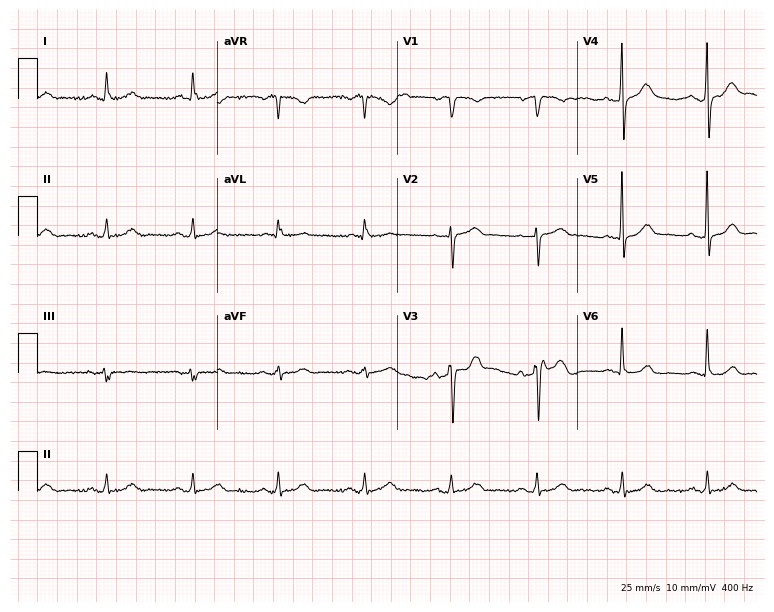
12-lead ECG from a woman, 65 years old. Labelled as a normal ECG.